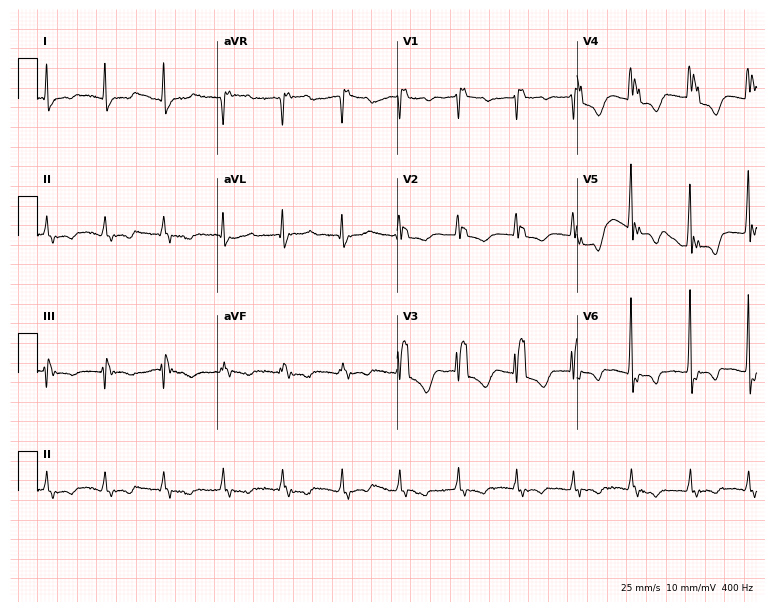
ECG (7.3-second recording at 400 Hz) — a female patient, 84 years old. Screened for six findings — first-degree AV block, right bundle branch block, left bundle branch block, sinus bradycardia, atrial fibrillation, sinus tachycardia — none is recorded. Findings outside these six are not listed.